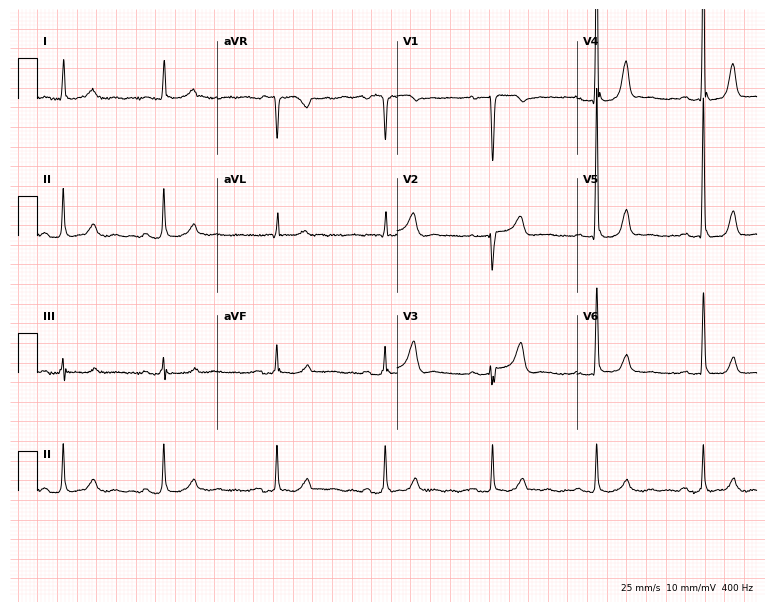
12-lead ECG from a 79-year-old woman (7.3-second recording at 400 Hz). Recorded interpretation: within normal limits.